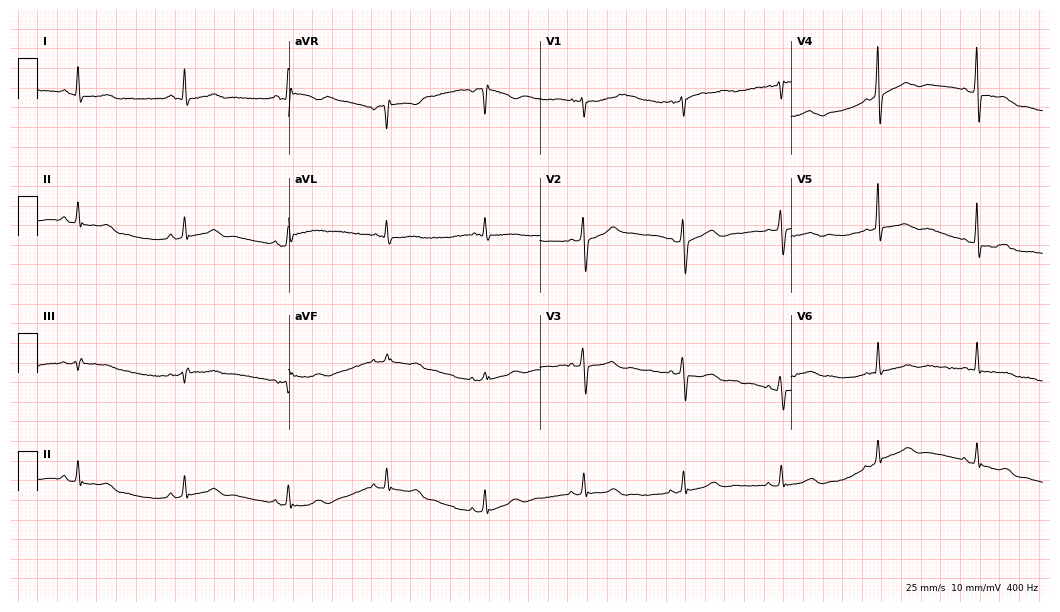
Standard 12-lead ECG recorded from a female, 56 years old (10.2-second recording at 400 Hz). None of these six findings is recorded: first-degree AV block, right bundle branch block (RBBB), left bundle branch block (LBBB), sinus bradycardia, atrial fibrillation (AF), sinus tachycardia. Other findings, if any, are not listed.